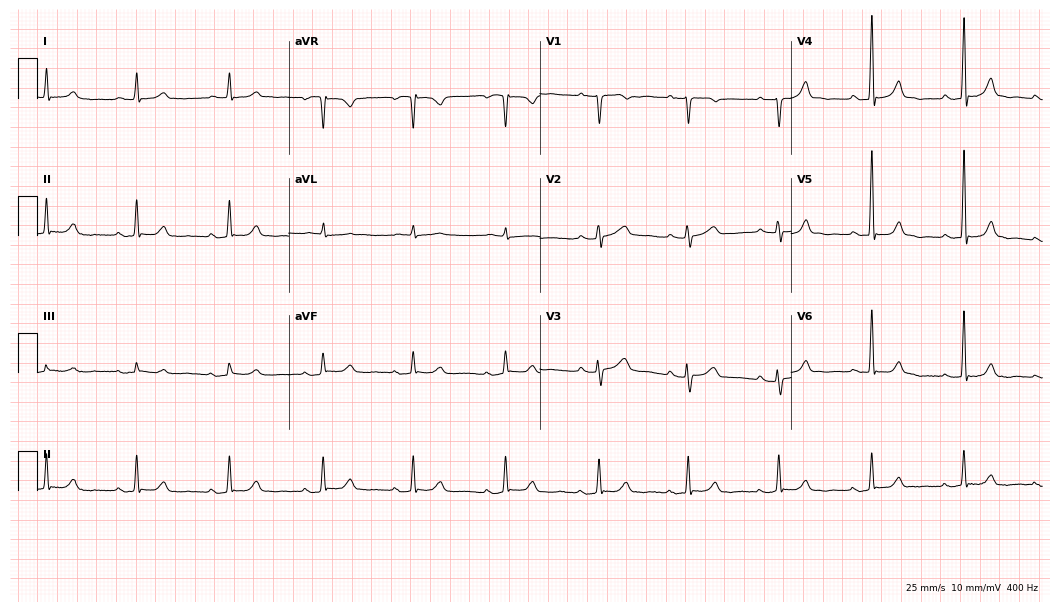
12-lead ECG from a 67-year-old female. Screened for six findings — first-degree AV block, right bundle branch block, left bundle branch block, sinus bradycardia, atrial fibrillation, sinus tachycardia — none is recorded. Findings outside these six are not listed.